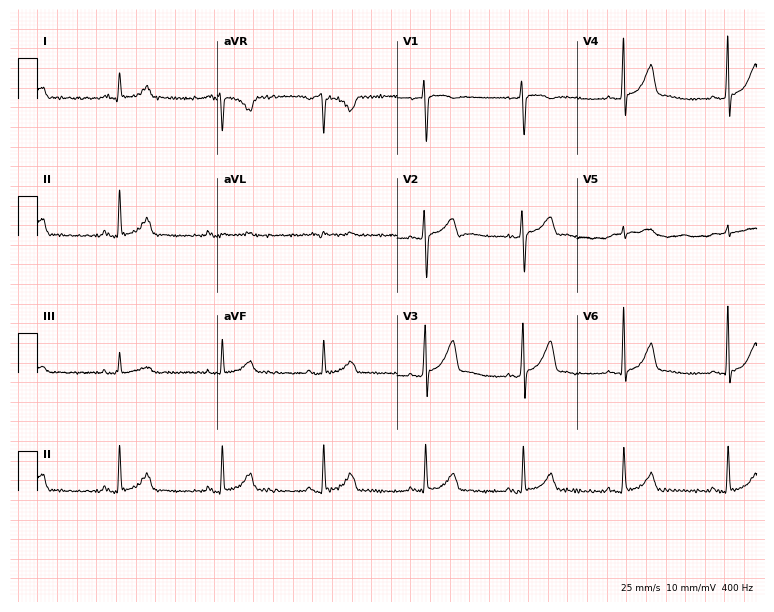
Standard 12-lead ECG recorded from a 27-year-old man. Read as a normal ECG.